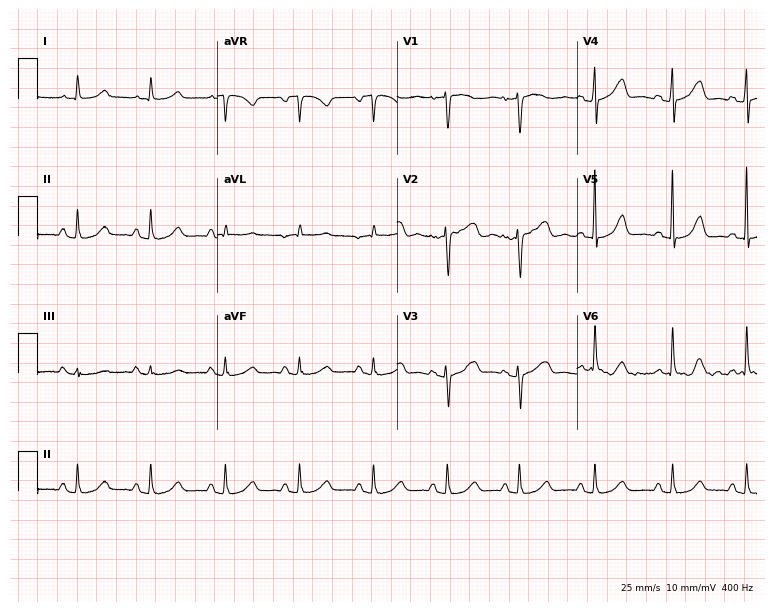
Standard 12-lead ECG recorded from a female, 72 years old (7.3-second recording at 400 Hz). None of these six findings is recorded: first-degree AV block, right bundle branch block (RBBB), left bundle branch block (LBBB), sinus bradycardia, atrial fibrillation (AF), sinus tachycardia.